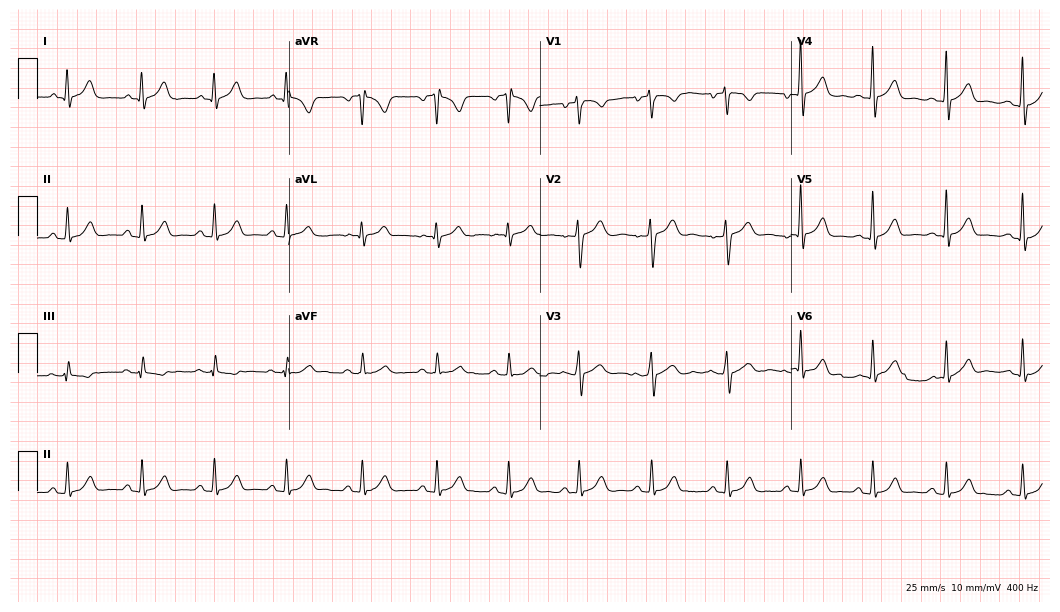
ECG (10.2-second recording at 400 Hz) — a 34-year-old male patient. Labelled as a normal ECG.